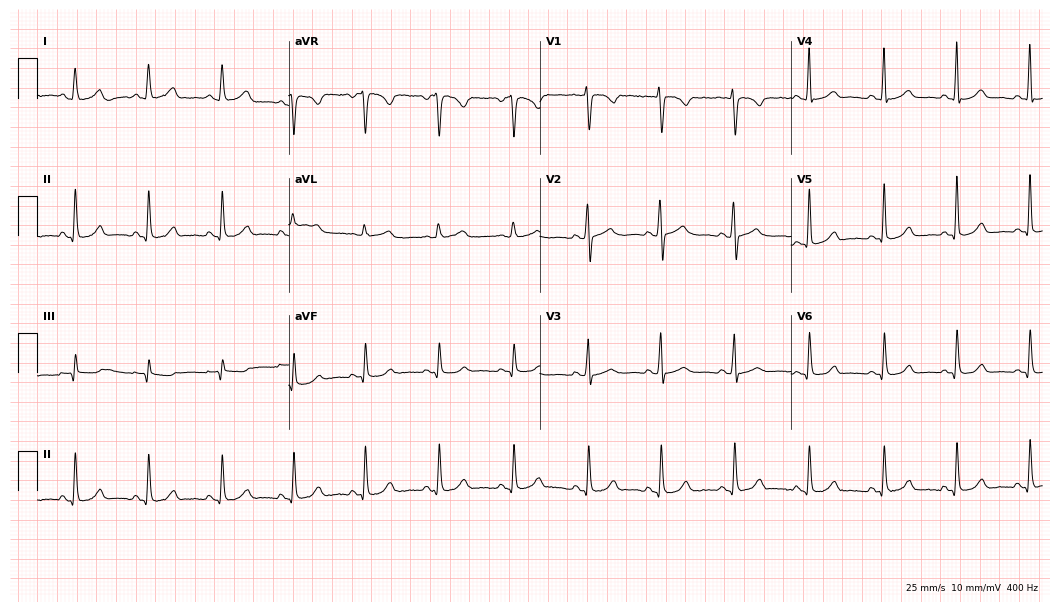
Standard 12-lead ECG recorded from a 41-year-old female patient. None of these six findings is recorded: first-degree AV block, right bundle branch block, left bundle branch block, sinus bradycardia, atrial fibrillation, sinus tachycardia.